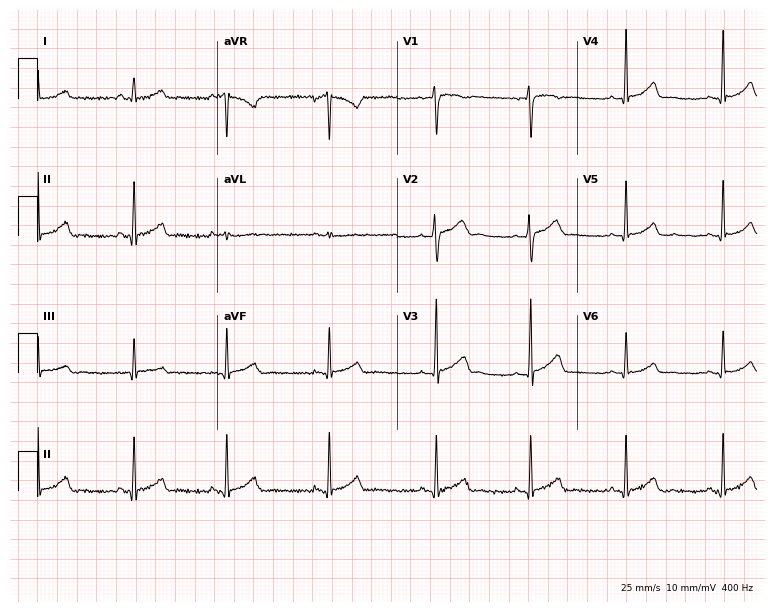
Standard 12-lead ECG recorded from a 27-year-old female patient. Read as a normal ECG.